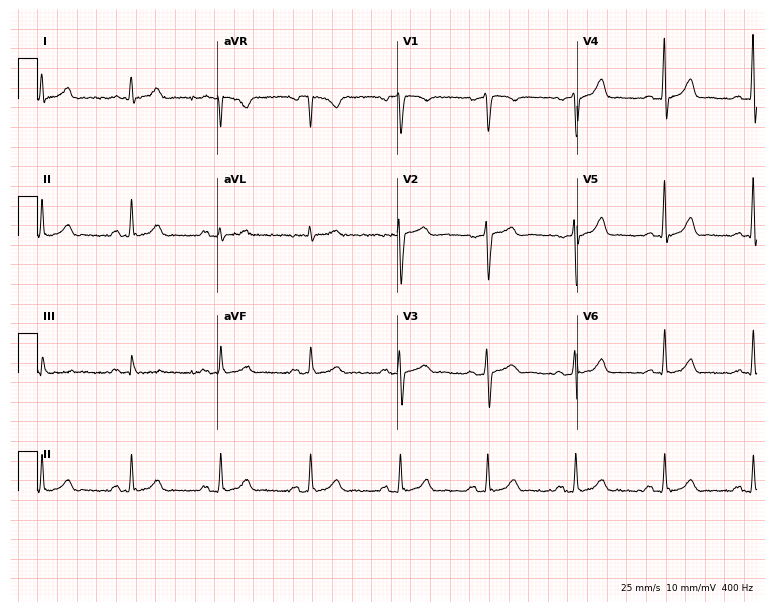
12-lead ECG (7.3-second recording at 400 Hz) from a man, 33 years old. Labelled as a normal ECG.